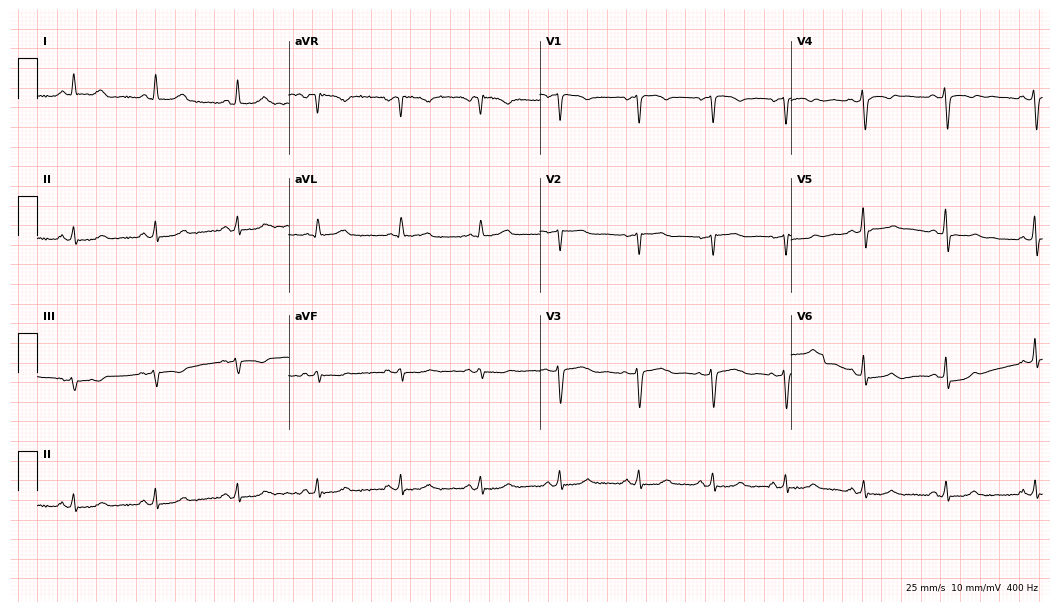
12-lead ECG from a woman, 47 years old. No first-degree AV block, right bundle branch block, left bundle branch block, sinus bradycardia, atrial fibrillation or sinus tachycardia recorded for this tracing.